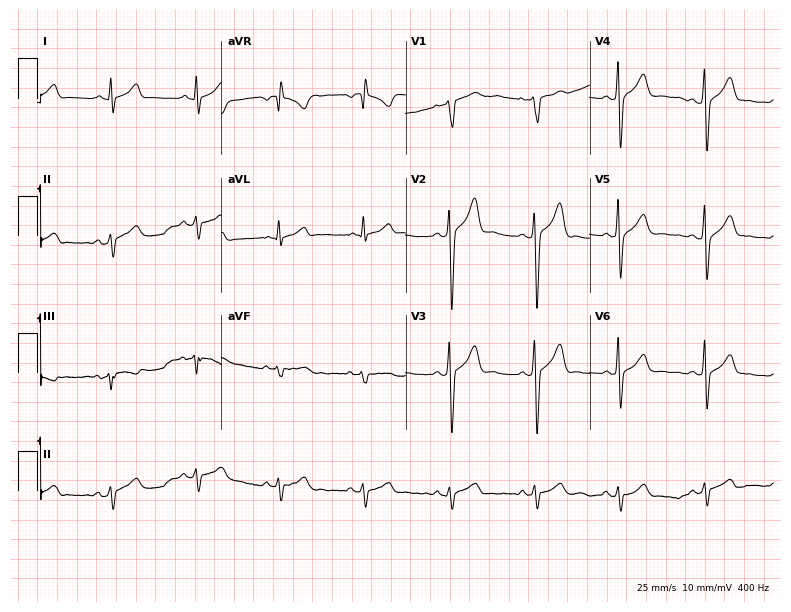
Electrocardiogram (7.5-second recording at 400 Hz), a 29-year-old man. Of the six screened findings (first-degree AV block, right bundle branch block, left bundle branch block, sinus bradycardia, atrial fibrillation, sinus tachycardia), none is recorded.